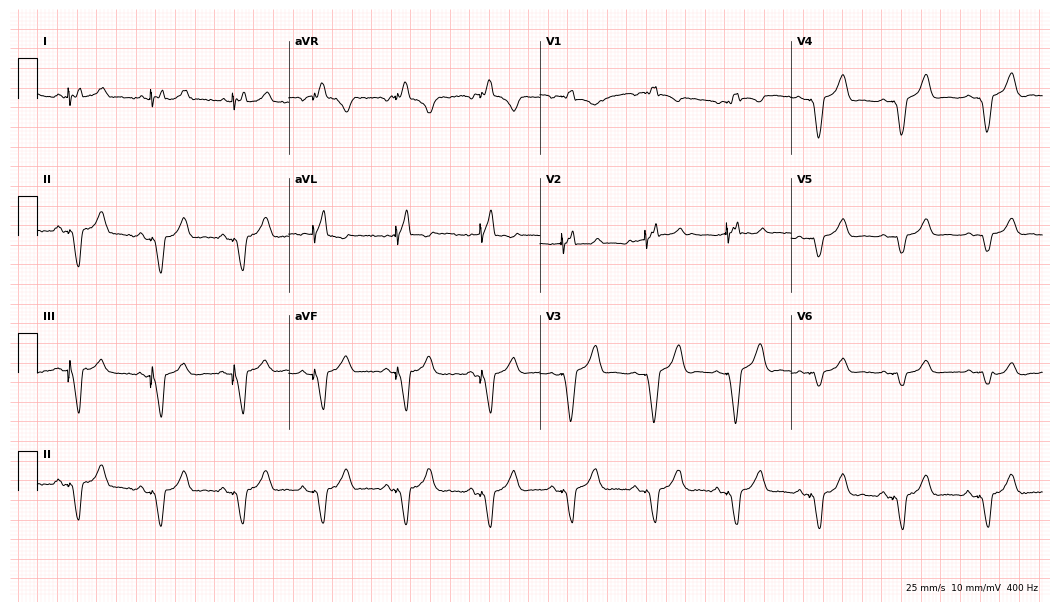
12-lead ECG from a male, 87 years old. Screened for six findings — first-degree AV block, right bundle branch block, left bundle branch block, sinus bradycardia, atrial fibrillation, sinus tachycardia — none is recorded. Findings outside these six are not listed.